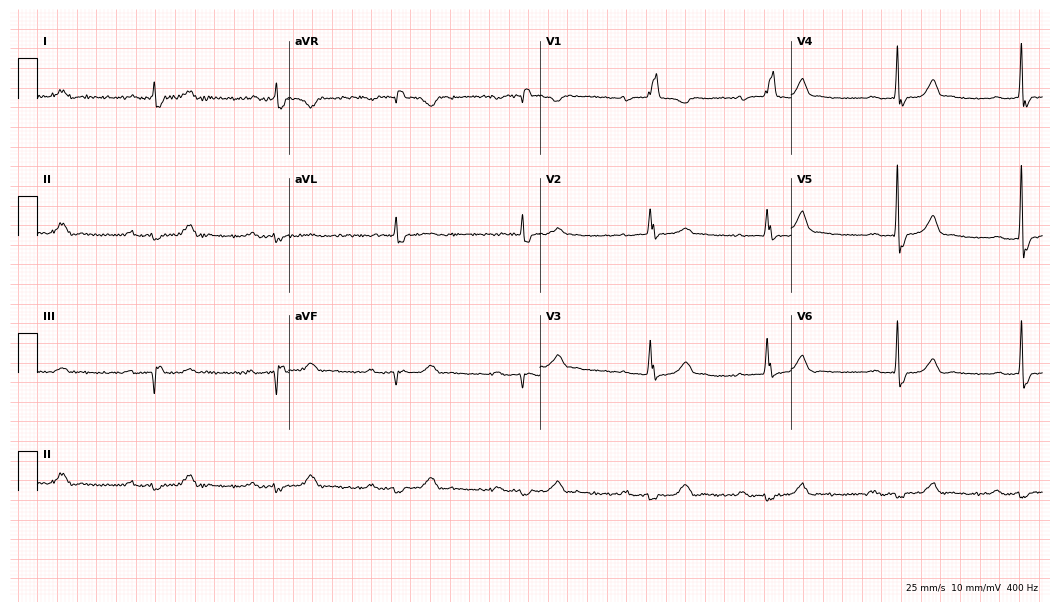
12-lead ECG from a 78-year-old woman (10.2-second recording at 400 Hz). No first-degree AV block, right bundle branch block, left bundle branch block, sinus bradycardia, atrial fibrillation or sinus tachycardia recorded for this tracing. Findings outside these six are not listed.